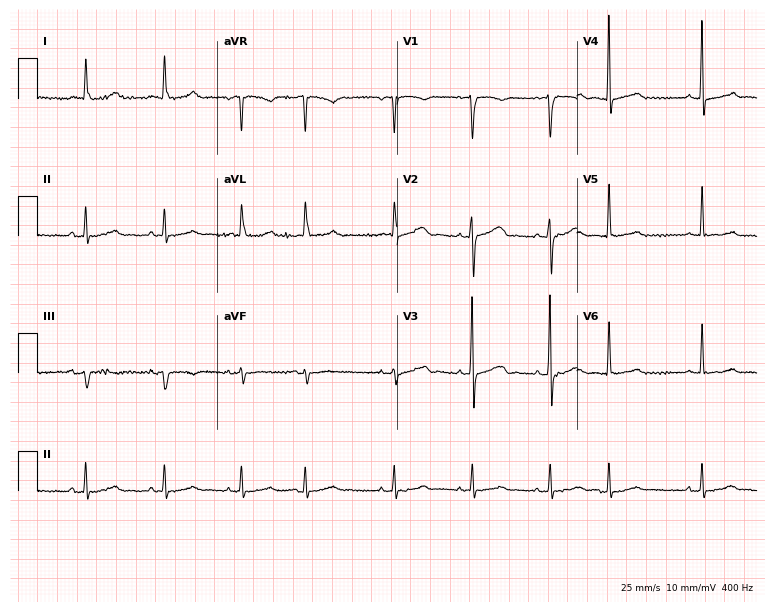
ECG (7.3-second recording at 400 Hz) — an 85-year-old woman. Labelled as a normal ECG.